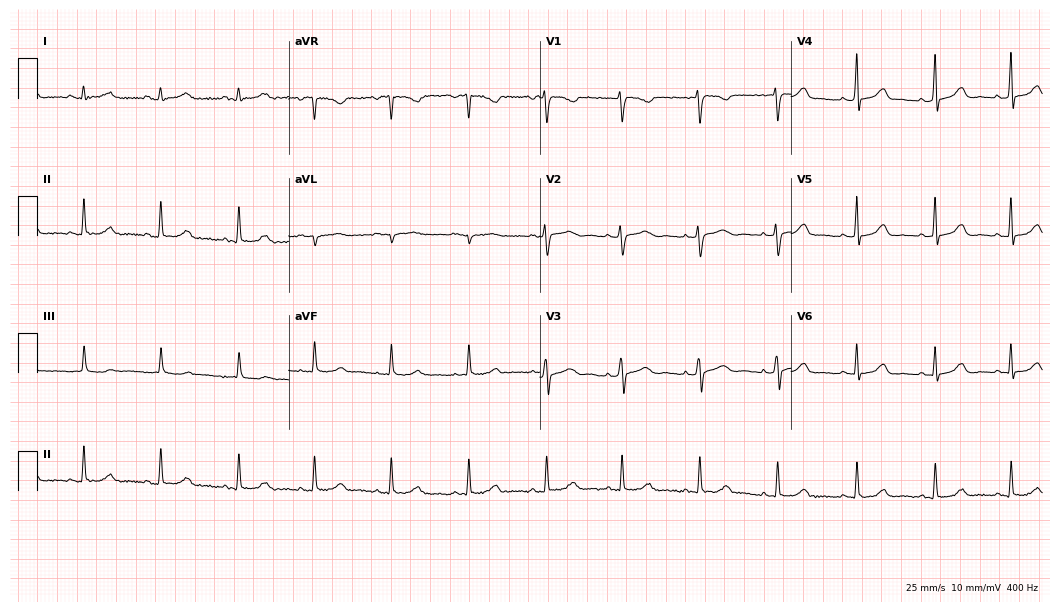
12-lead ECG from a 24-year-old woman (10.2-second recording at 400 Hz). Recorded interpretation: within normal limits.